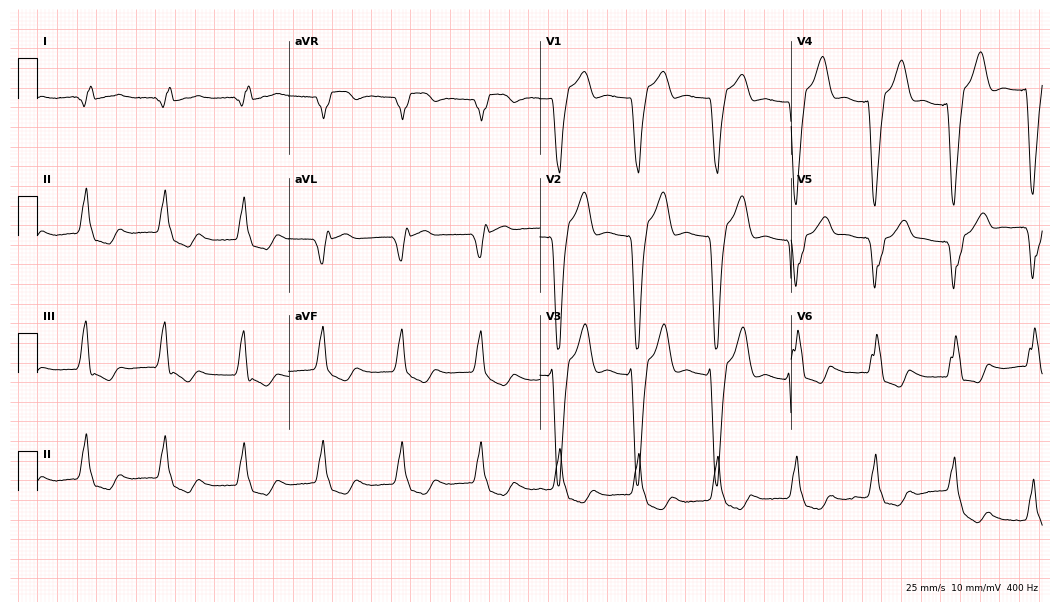
Standard 12-lead ECG recorded from a 57-year-old female. None of these six findings is recorded: first-degree AV block, right bundle branch block, left bundle branch block, sinus bradycardia, atrial fibrillation, sinus tachycardia. Findings outside these six are not listed.